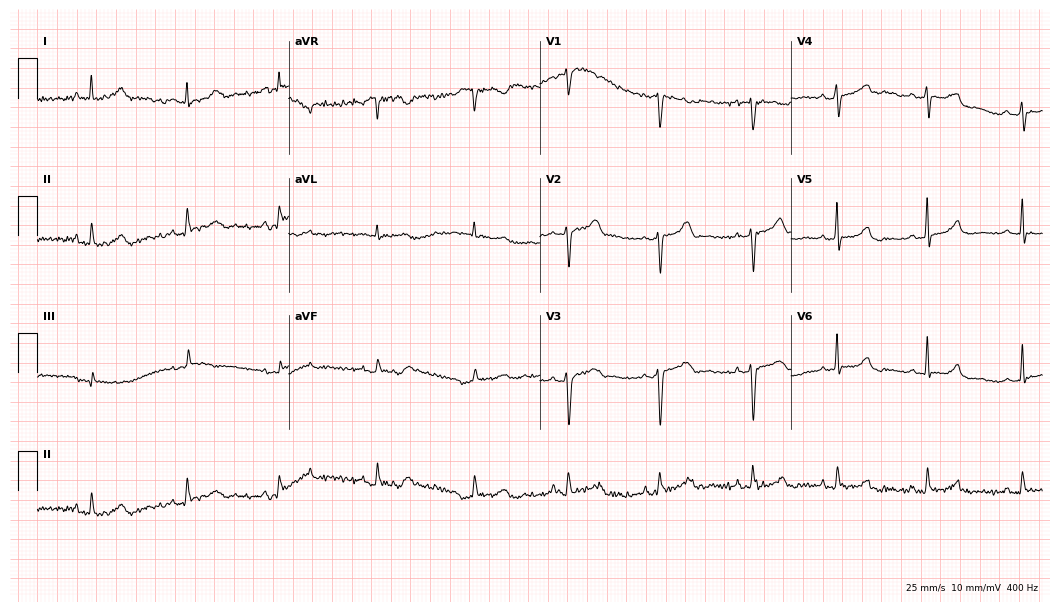
12-lead ECG (10.2-second recording at 400 Hz) from a 43-year-old woman. Labelled as a normal ECG.